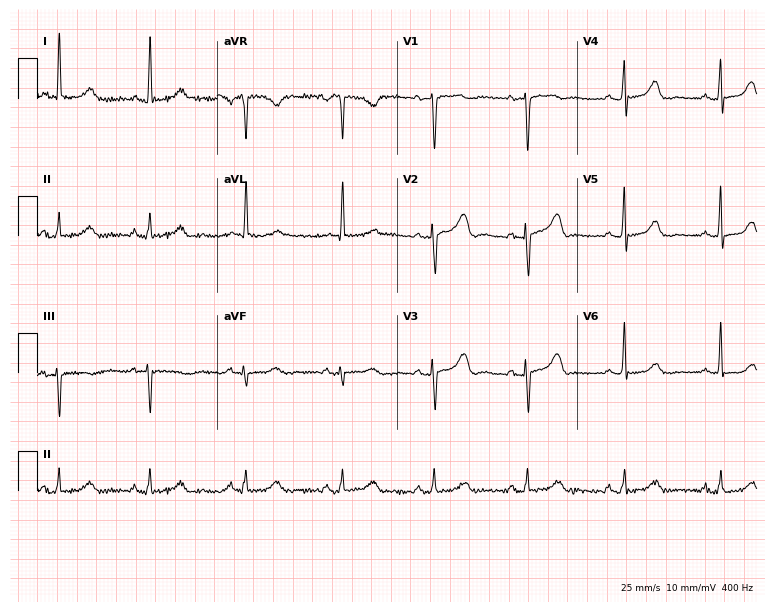
12-lead ECG from a 55-year-old woman. Recorded interpretation: within normal limits.